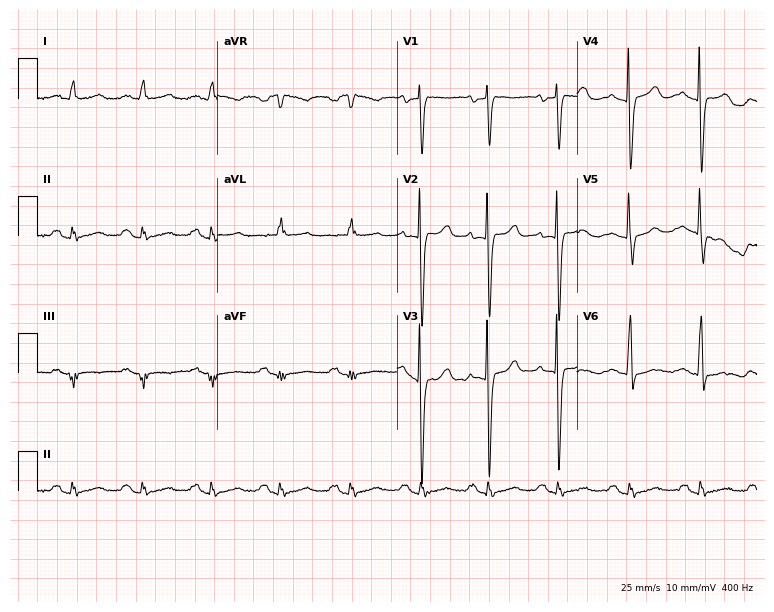
12-lead ECG (7.3-second recording at 400 Hz) from a 38-year-old female patient. Screened for six findings — first-degree AV block, right bundle branch block, left bundle branch block, sinus bradycardia, atrial fibrillation, sinus tachycardia — none is recorded.